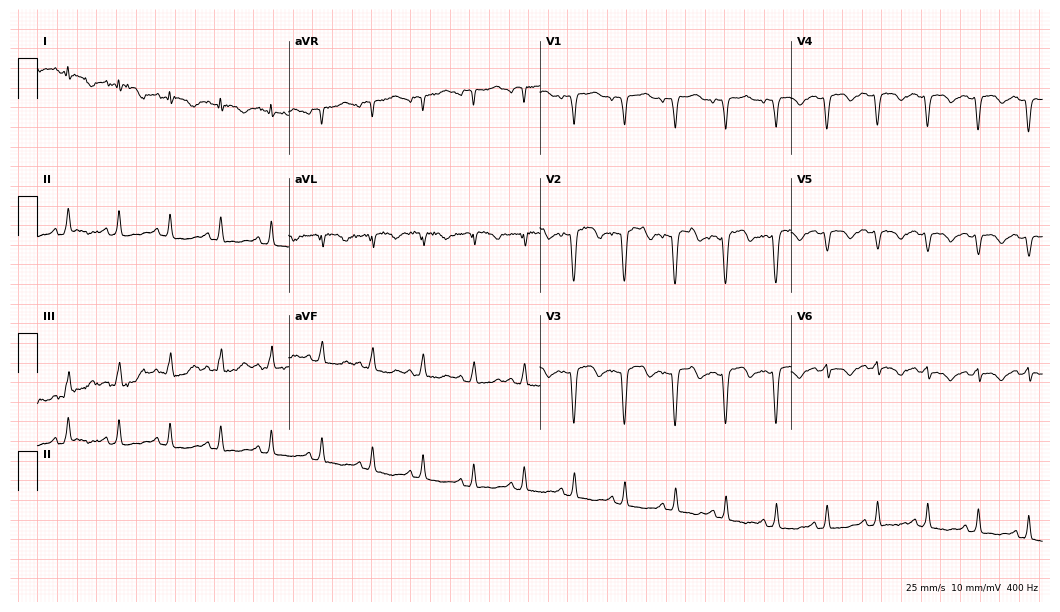
ECG — a 42-year-old female patient. Screened for six findings — first-degree AV block, right bundle branch block, left bundle branch block, sinus bradycardia, atrial fibrillation, sinus tachycardia — none is recorded.